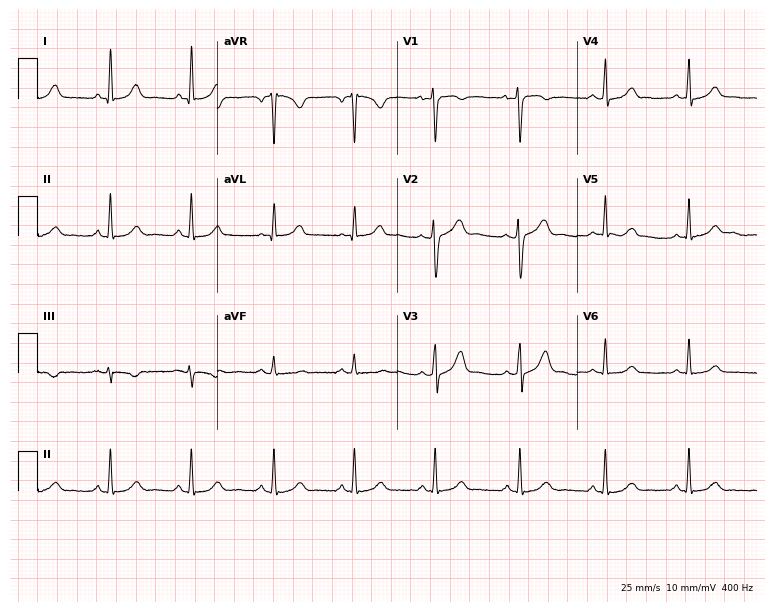
Resting 12-lead electrocardiogram. Patient: a 39-year-old female. Read as a normal ECG.